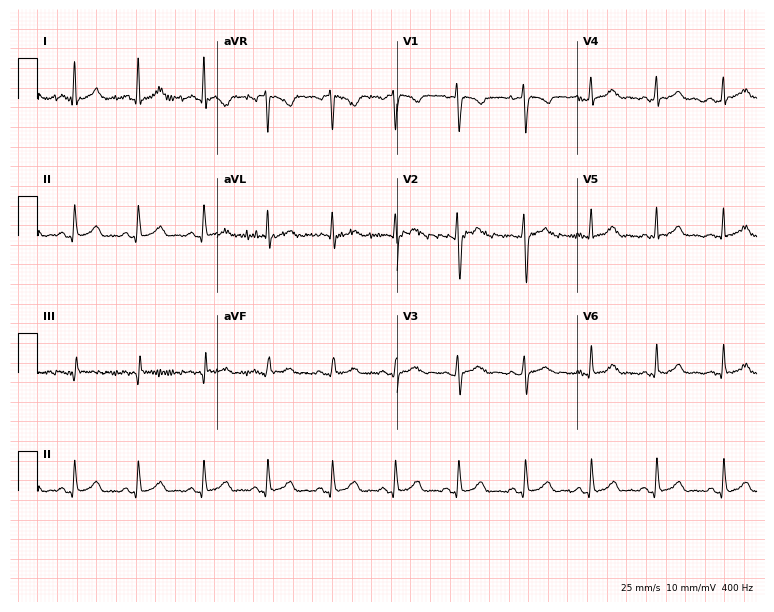
Electrocardiogram (7.3-second recording at 400 Hz), a woman, 20 years old. Overall reading on record: normal ECG.